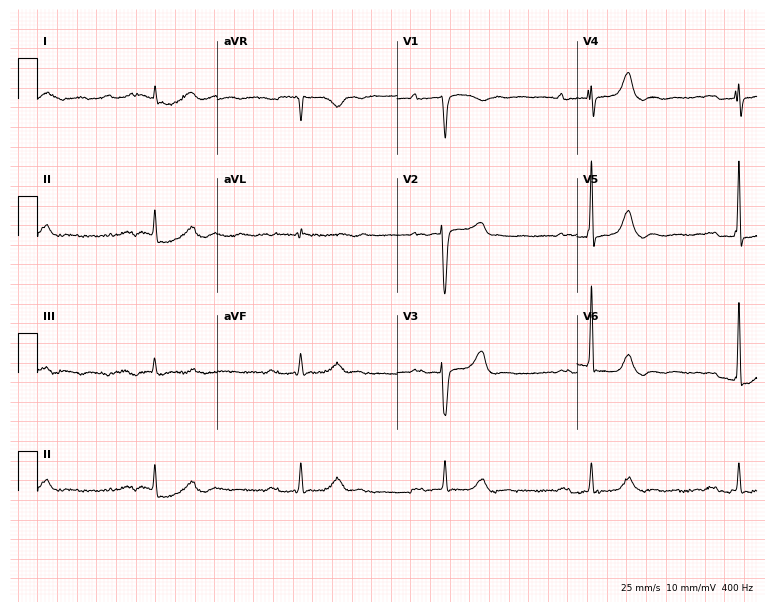
Standard 12-lead ECG recorded from a female patient, 80 years old. The tracing shows first-degree AV block, sinus bradycardia (a sinus rate of 50 beats per minute or less).